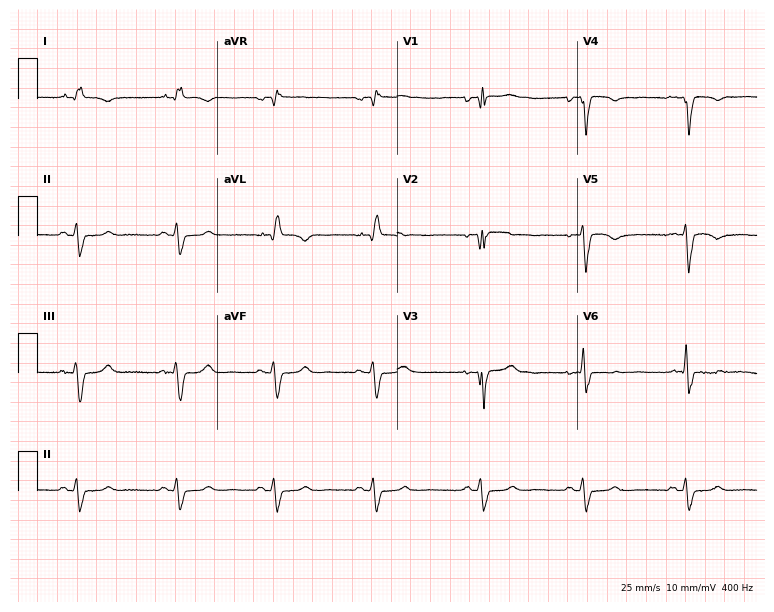
ECG — a male patient, 74 years old. Screened for six findings — first-degree AV block, right bundle branch block (RBBB), left bundle branch block (LBBB), sinus bradycardia, atrial fibrillation (AF), sinus tachycardia — none is recorded.